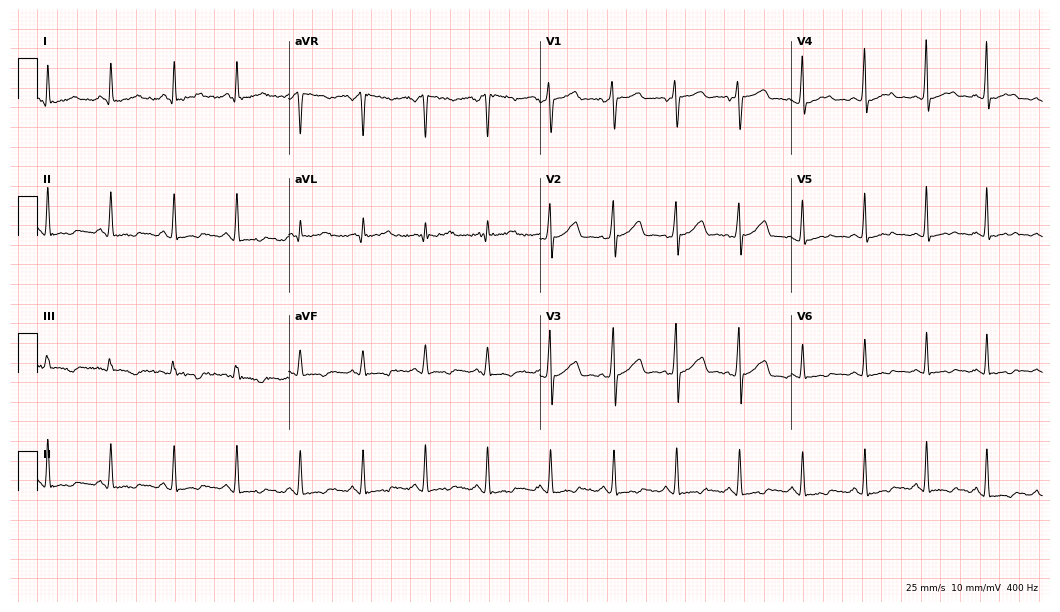
Electrocardiogram (10.2-second recording at 400 Hz), a female patient, 39 years old. Of the six screened findings (first-degree AV block, right bundle branch block, left bundle branch block, sinus bradycardia, atrial fibrillation, sinus tachycardia), none is recorded. Only these six findings were labelled.